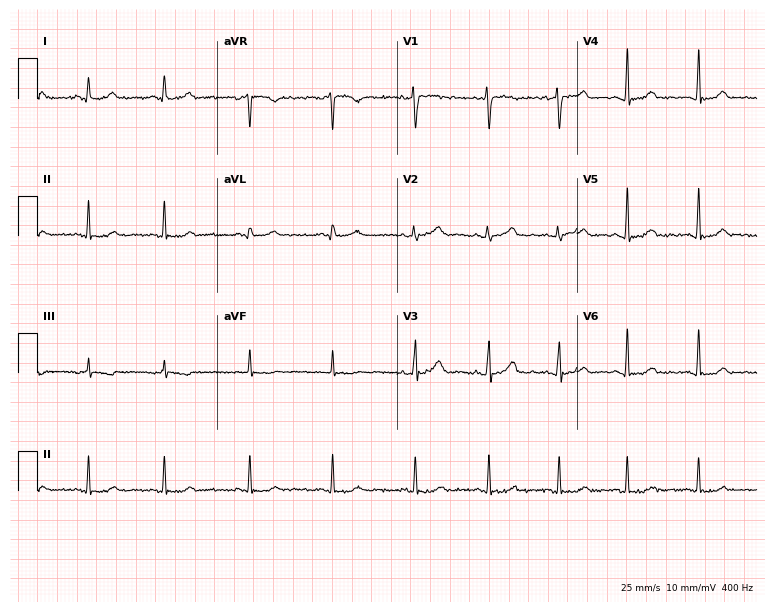
12-lead ECG (7.3-second recording at 400 Hz) from a female patient, 33 years old. Labelled as a normal ECG.